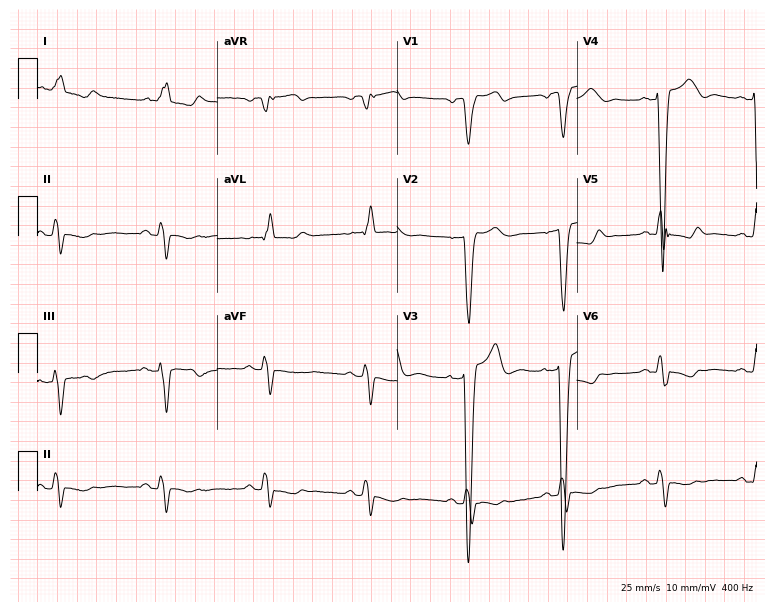
12-lead ECG from a 76-year-old male patient (7.3-second recording at 400 Hz). No first-degree AV block, right bundle branch block, left bundle branch block, sinus bradycardia, atrial fibrillation or sinus tachycardia recorded for this tracing.